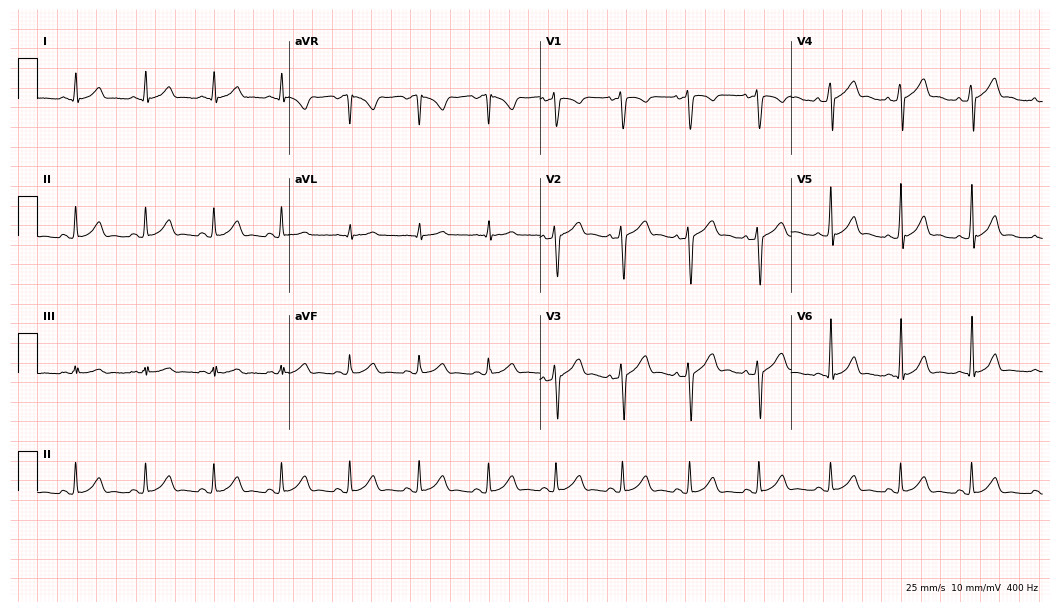
Resting 12-lead electrocardiogram (10.2-second recording at 400 Hz). Patient: a 22-year-old male. Read as a normal ECG.